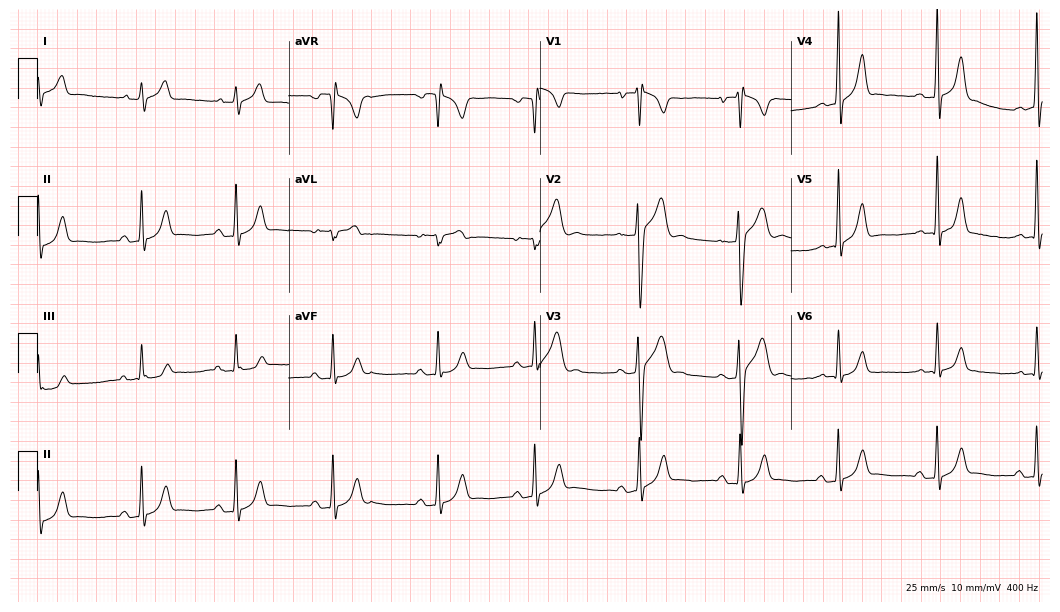
Resting 12-lead electrocardiogram. Patient: a male, 17 years old. None of these six findings is recorded: first-degree AV block, right bundle branch block, left bundle branch block, sinus bradycardia, atrial fibrillation, sinus tachycardia. Only these six findings were labelled.